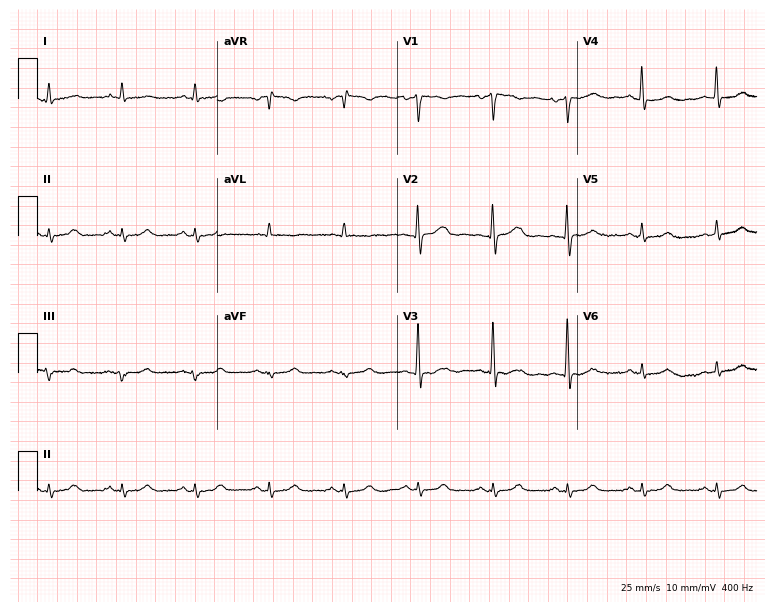
12-lead ECG (7.3-second recording at 400 Hz) from a male, 63 years old. Labelled as a normal ECG.